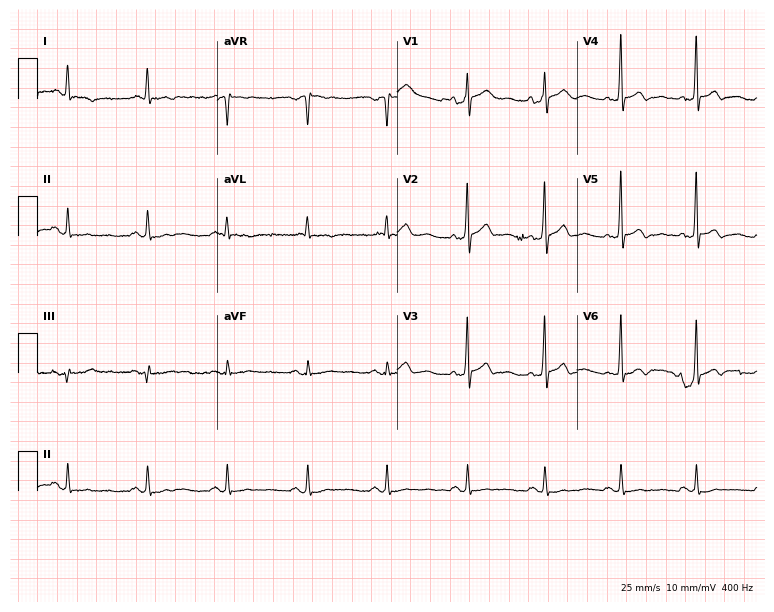
ECG (7.3-second recording at 400 Hz) — a man, 61 years old. Screened for six findings — first-degree AV block, right bundle branch block, left bundle branch block, sinus bradycardia, atrial fibrillation, sinus tachycardia — none is recorded.